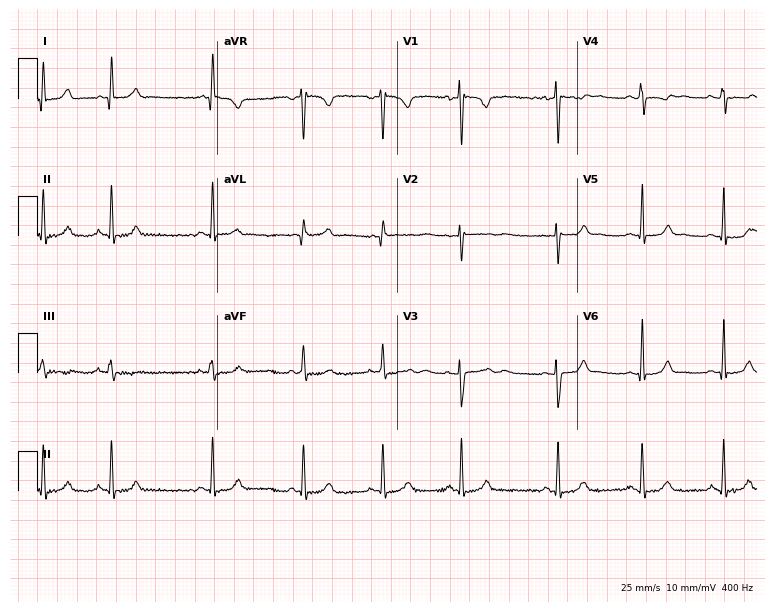
Standard 12-lead ECG recorded from a 17-year-old woman. Read as a normal ECG.